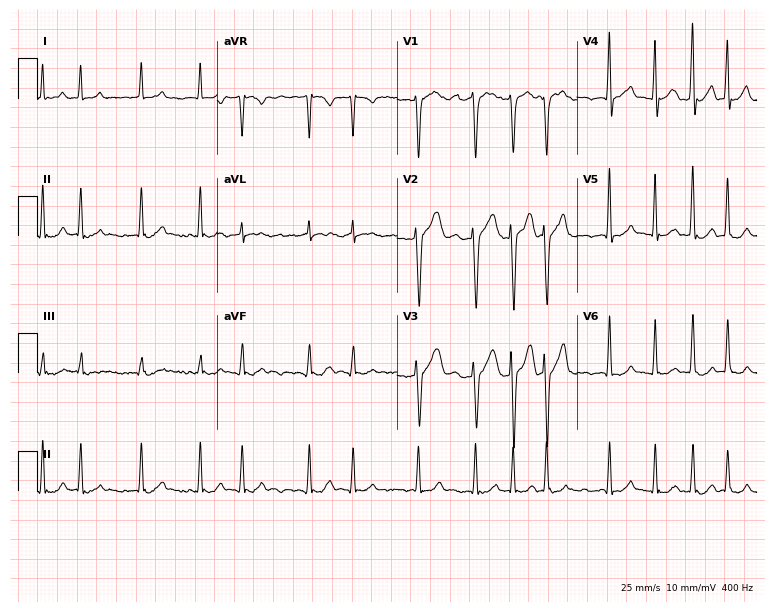
12-lead ECG from a 51-year-old male patient (7.3-second recording at 400 Hz). Shows atrial fibrillation.